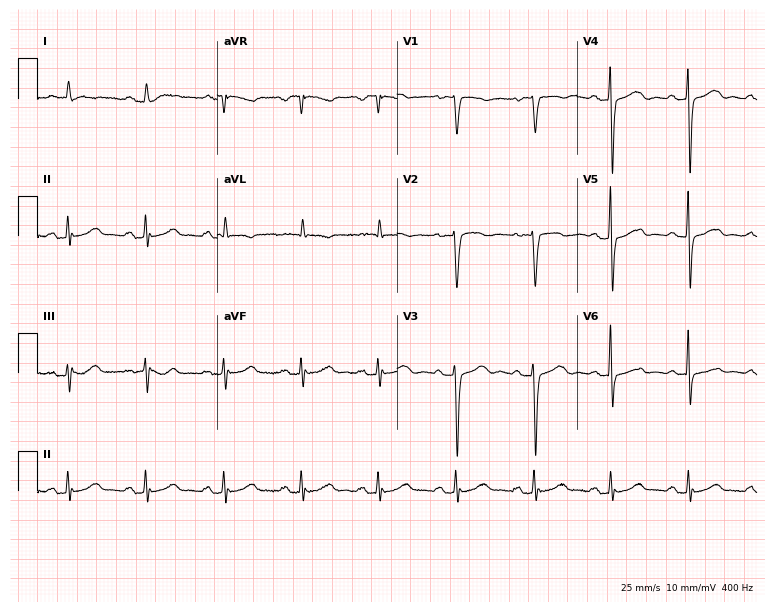
12-lead ECG from a female patient, 58 years old. No first-degree AV block, right bundle branch block (RBBB), left bundle branch block (LBBB), sinus bradycardia, atrial fibrillation (AF) or sinus tachycardia recorded for this tracing.